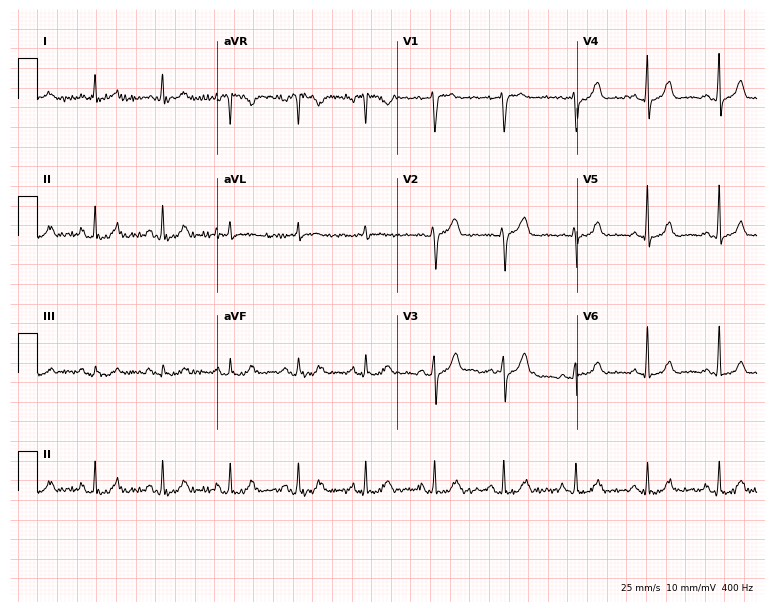
12-lead ECG from a female, 55 years old. Labelled as a normal ECG.